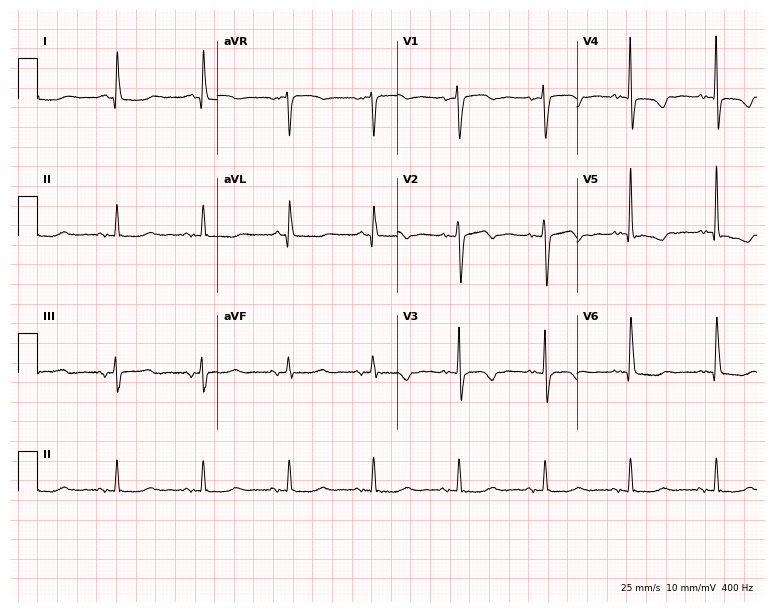
ECG (7.3-second recording at 400 Hz) — a 71-year-old woman. Screened for six findings — first-degree AV block, right bundle branch block, left bundle branch block, sinus bradycardia, atrial fibrillation, sinus tachycardia — none is recorded.